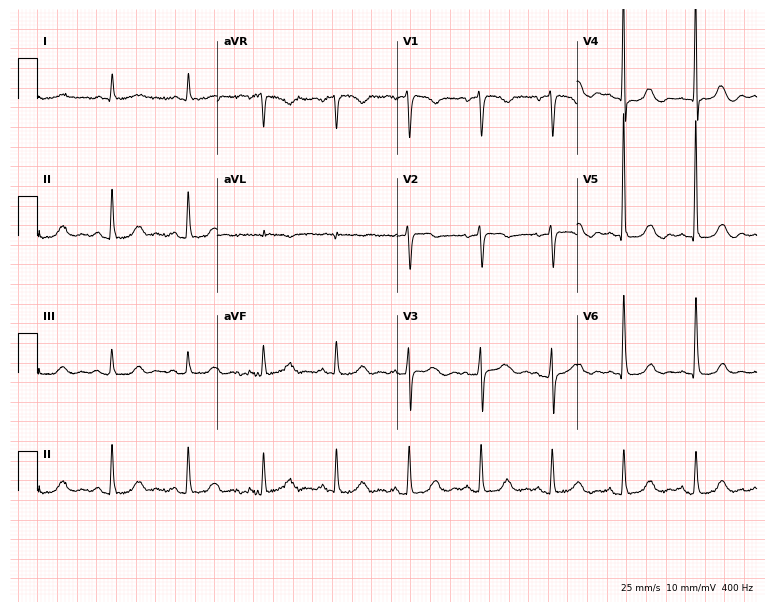
12-lead ECG (7.3-second recording at 400 Hz) from a 68-year-old woman. Labelled as a normal ECG.